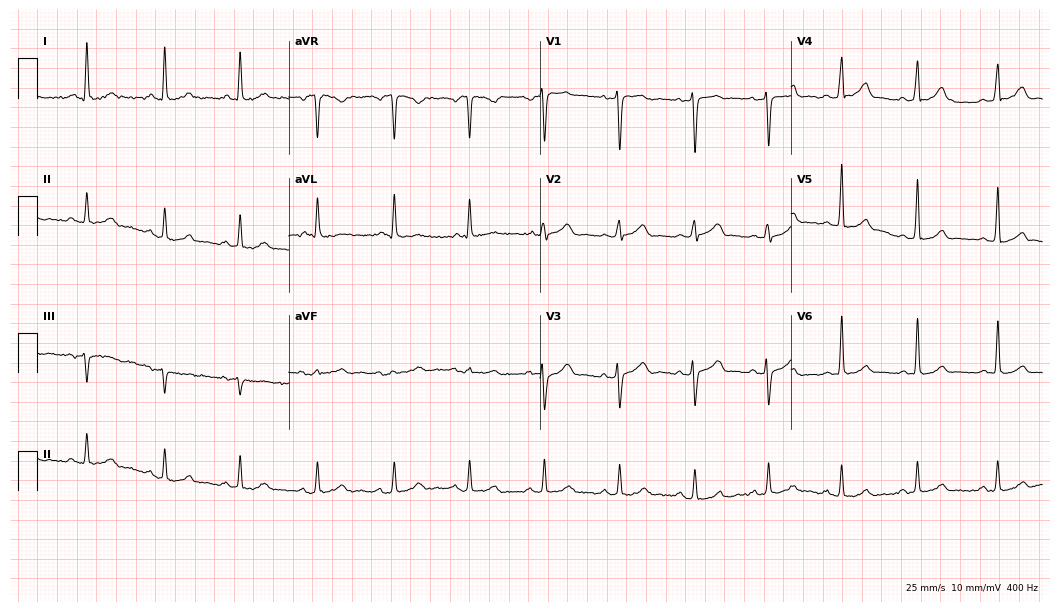
12-lead ECG from a 43-year-old female patient. Labelled as a normal ECG.